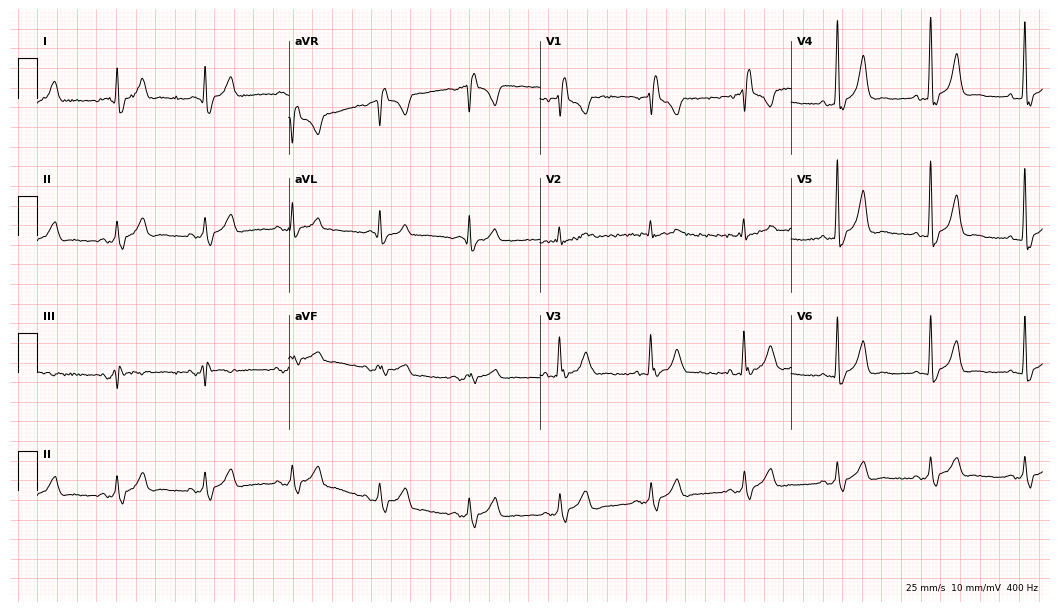
12-lead ECG (10.2-second recording at 400 Hz) from a 58-year-old male patient. Findings include right bundle branch block.